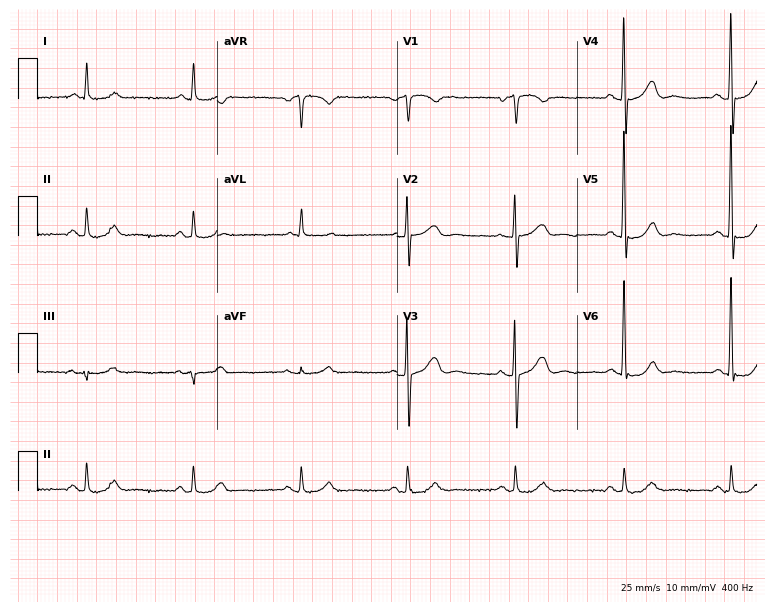
Standard 12-lead ECG recorded from a male, 78 years old. None of these six findings is recorded: first-degree AV block, right bundle branch block (RBBB), left bundle branch block (LBBB), sinus bradycardia, atrial fibrillation (AF), sinus tachycardia.